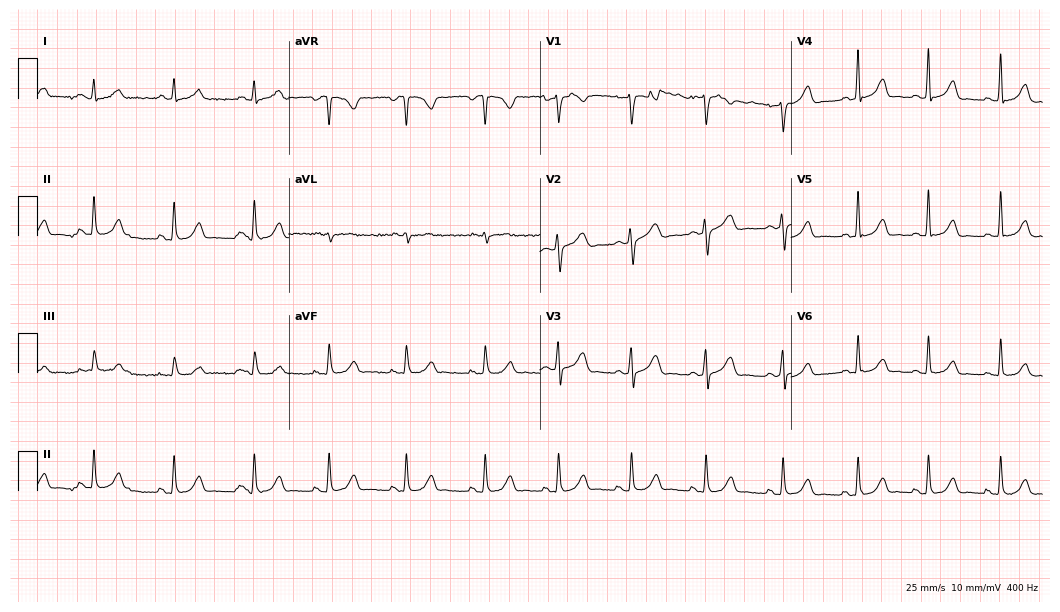
12-lead ECG (10.2-second recording at 400 Hz) from a 25-year-old female. Labelled as a normal ECG.